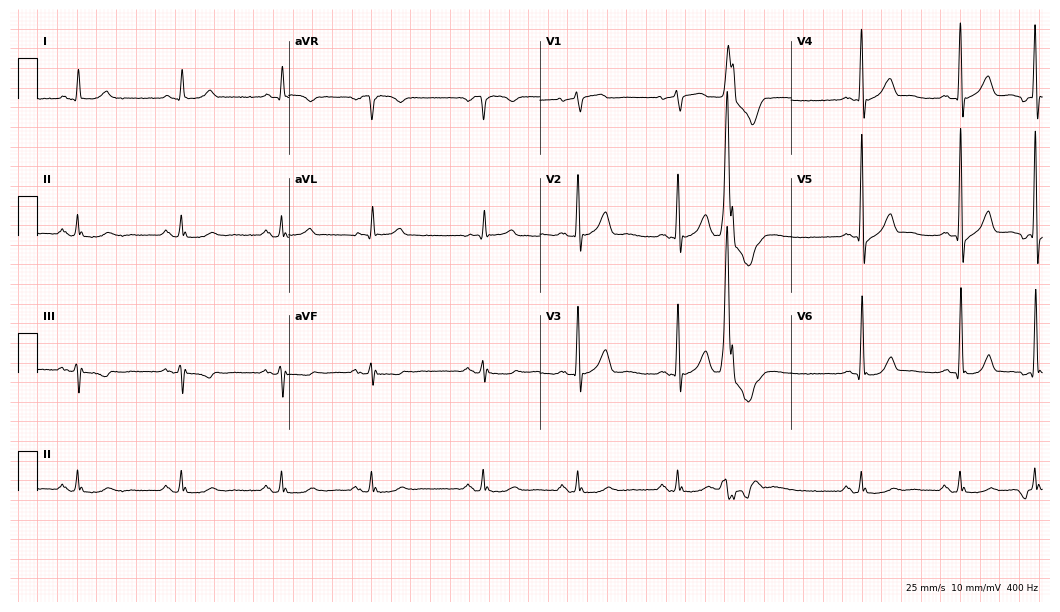
Electrocardiogram (10.2-second recording at 400 Hz), an 83-year-old male. Of the six screened findings (first-degree AV block, right bundle branch block, left bundle branch block, sinus bradycardia, atrial fibrillation, sinus tachycardia), none is recorded.